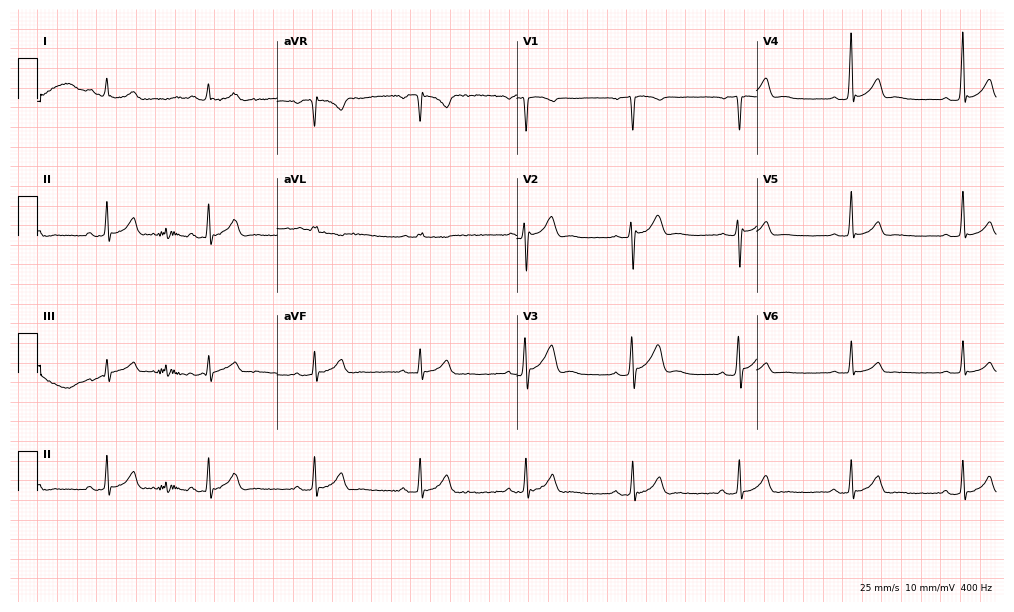
Resting 12-lead electrocardiogram. Patient: a 17-year-old male. Read as a normal ECG.